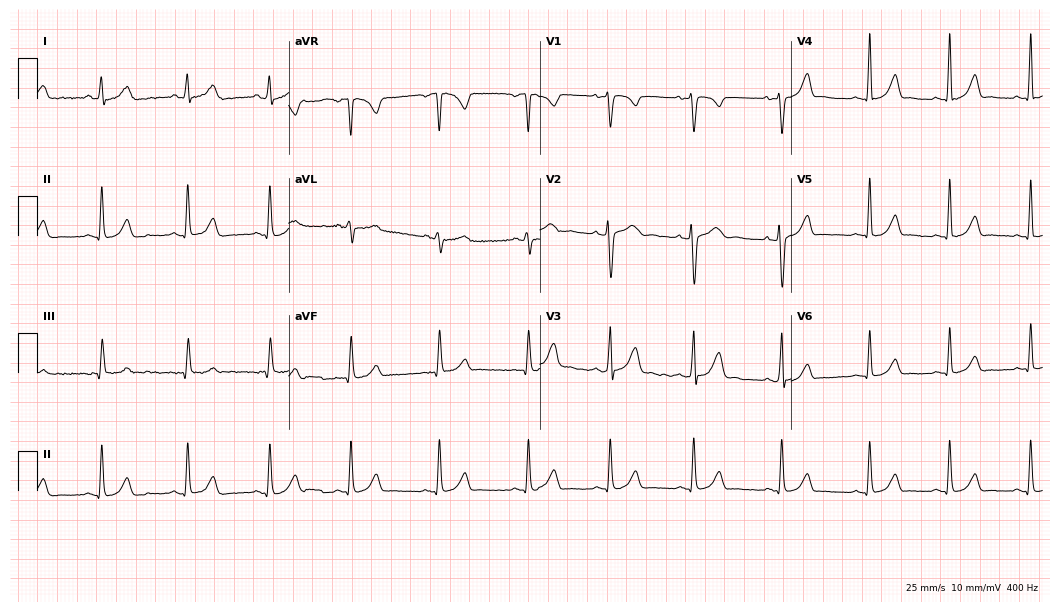
Electrocardiogram, a 22-year-old woman. Of the six screened findings (first-degree AV block, right bundle branch block, left bundle branch block, sinus bradycardia, atrial fibrillation, sinus tachycardia), none is recorded. Other findings, if any, are not listed.